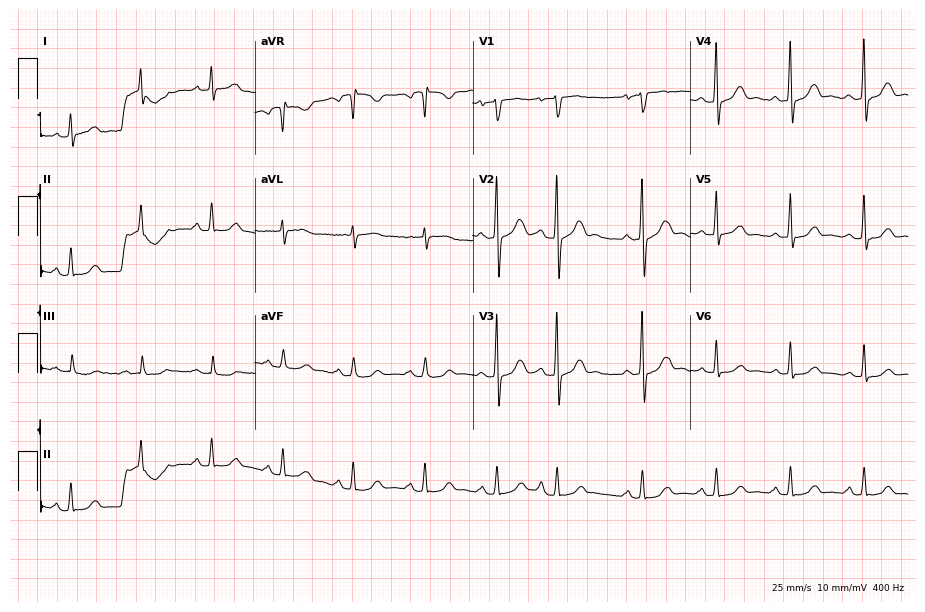
Standard 12-lead ECG recorded from a 58-year-old female. Read as a normal ECG.